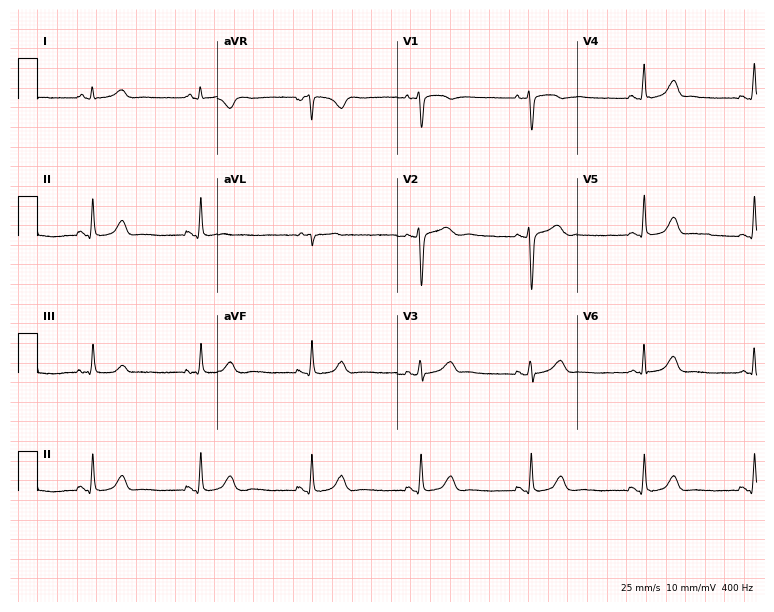
12-lead ECG (7.3-second recording at 400 Hz) from a female, 34 years old. Labelled as a normal ECG.